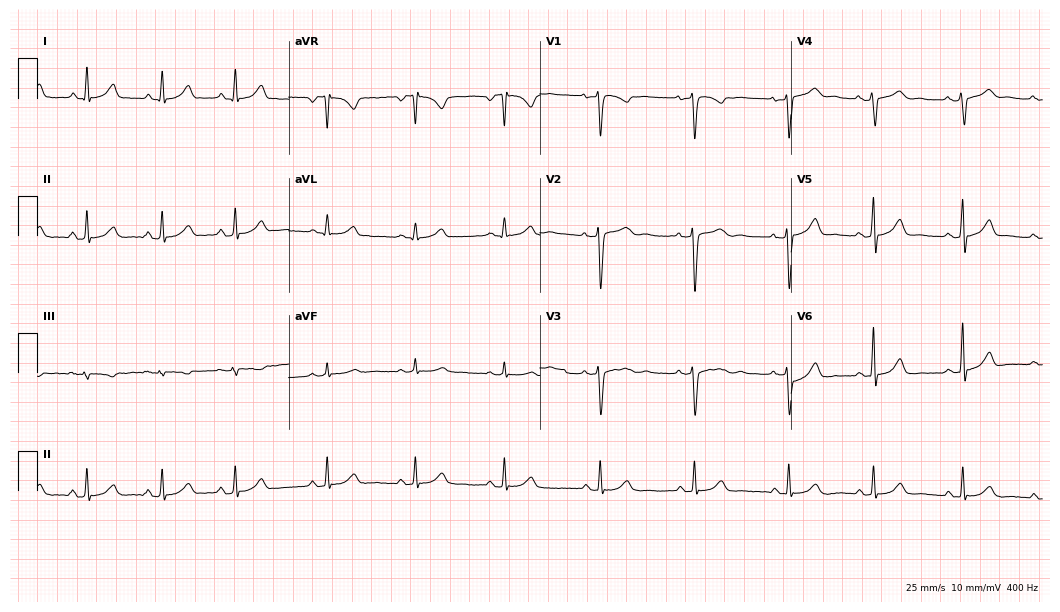
12-lead ECG from a 33-year-old woman. Screened for six findings — first-degree AV block, right bundle branch block, left bundle branch block, sinus bradycardia, atrial fibrillation, sinus tachycardia — none is recorded. Other findings, if any, are not listed.